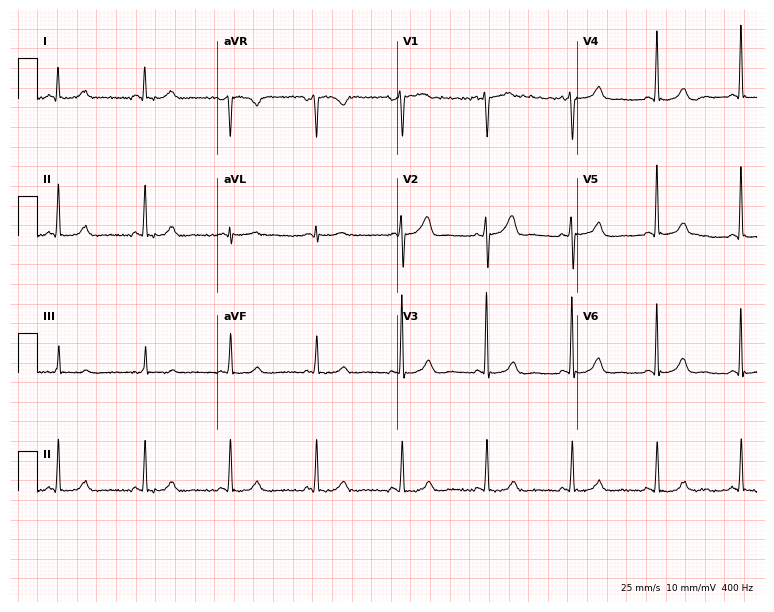
12-lead ECG from a 54-year-old woman. Screened for six findings — first-degree AV block, right bundle branch block (RBBB), left bundle branch block (LBBB), sinus bradycardia, atrial fibrillation (AF), sinus tachycardia — none is recorded.